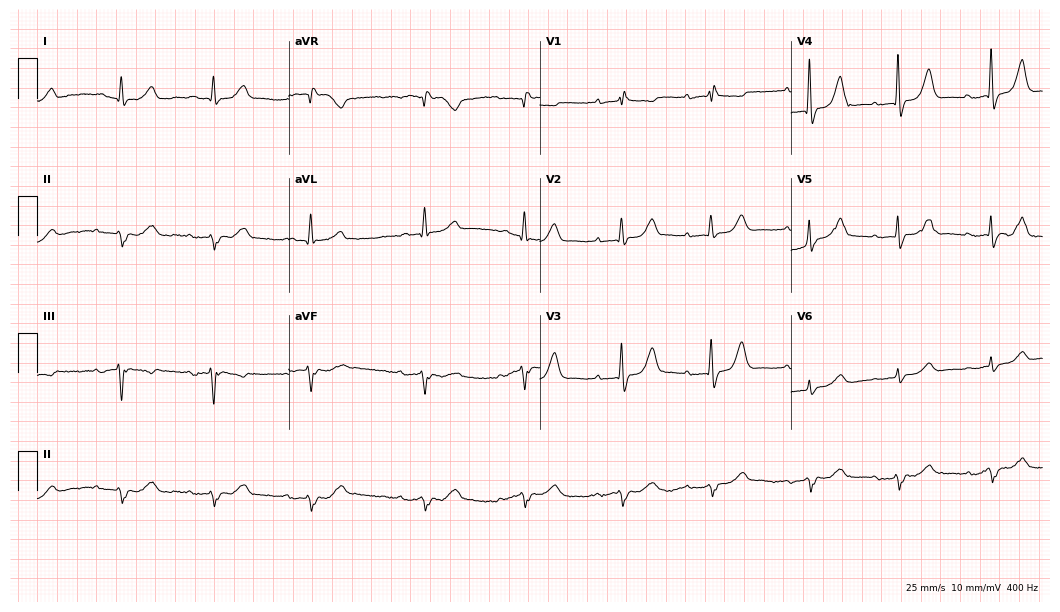
Standard 12-lead ECG recorded from a female patient, 81 years old (10.2-second recording at 400 Hz). None of these six findings is recorded: first-degree AV block, right bundle branch block, left bundle branch block, sinus bradycardia, atrial fibrillation, sinus tachycardia.